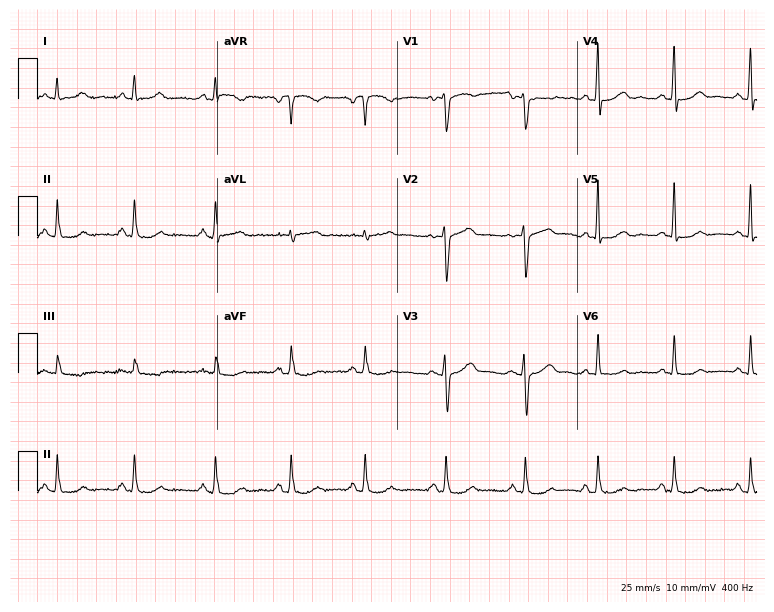
ECG — a 44-year-old female. Screened for six findings — first-degree AV block, right bundle branch block (RBBB), left bundle branch block (LBBB), sinus bradycardia, atrial fibrillation (AF), sinus tachycardia — none is recorded.